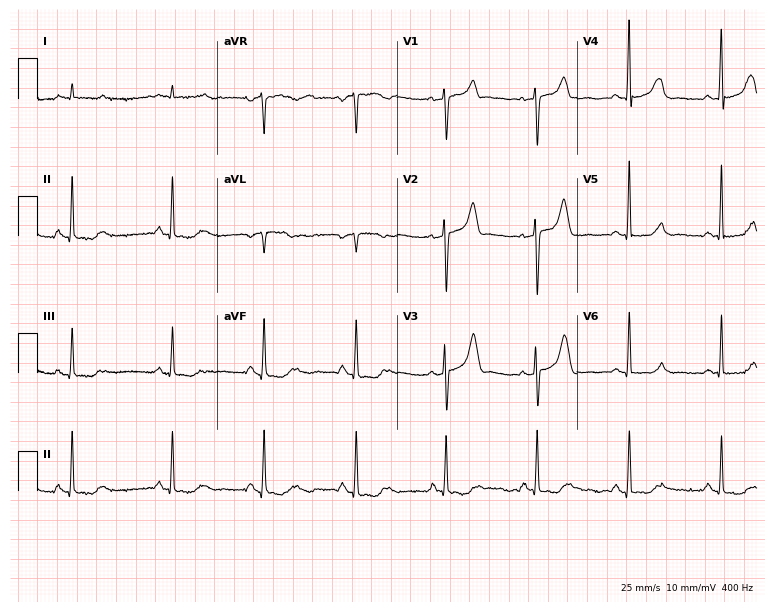
12-lead ECG (7.3-second recording at 400 Hz) from a male, 68 years old. Screened for six findings — first-degree AV block, right bundle branch block, left bundle branch block, sinus bradycardia, atrial fibrillation, sinus tachycardia — none is recorded. Other findings, if any, are not listed.